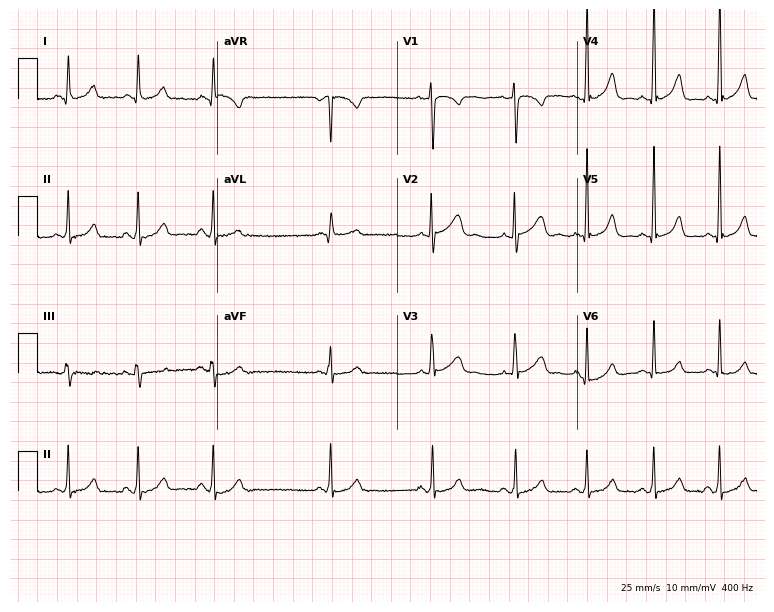
12-lead ECG (7.3-second recording at 400 Hz) from a female patient, 17 years old. Screened for six findings — first-degree AV block, right bundle branch block, left bundle branch block, sinus bradycardia, atrial fibrillation, sinus tachycardia — none is recorded.